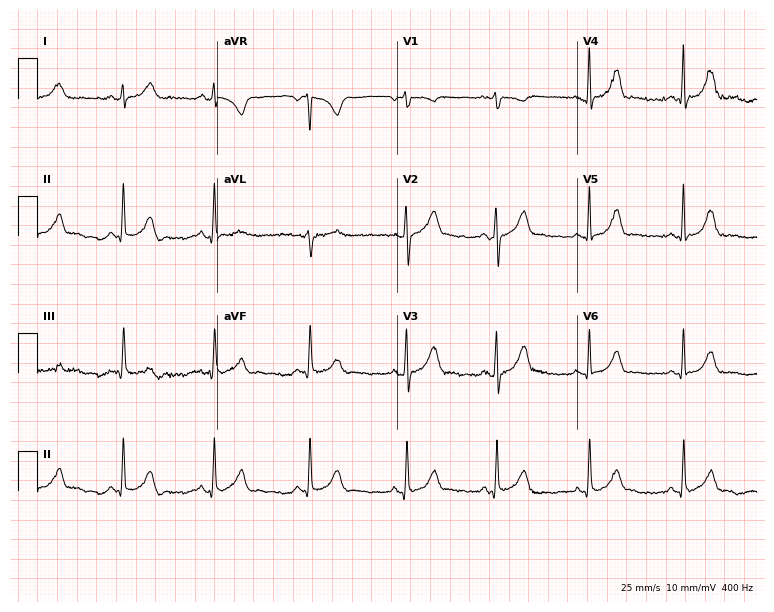
Resting 12-lead electrocardiogram (7.3-second recording at 400 Hz). Patient: a 24-year-old woman. Read as a normal ECG.